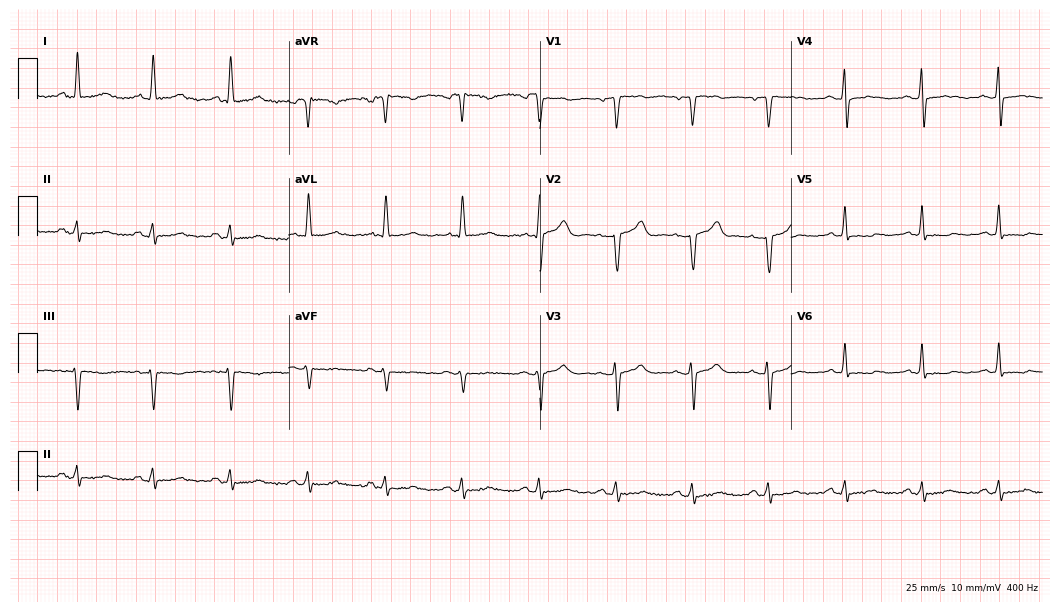
Resting 12-lead electrocardiogram. Patient: a man, 67 years old. None of these six findings is recorded: first-degree AV block, right bundle branch block, left bundle branch block, sinus bradycardia, atrial fibrillation, sinus tachycardia. Only these six findings were labelled.